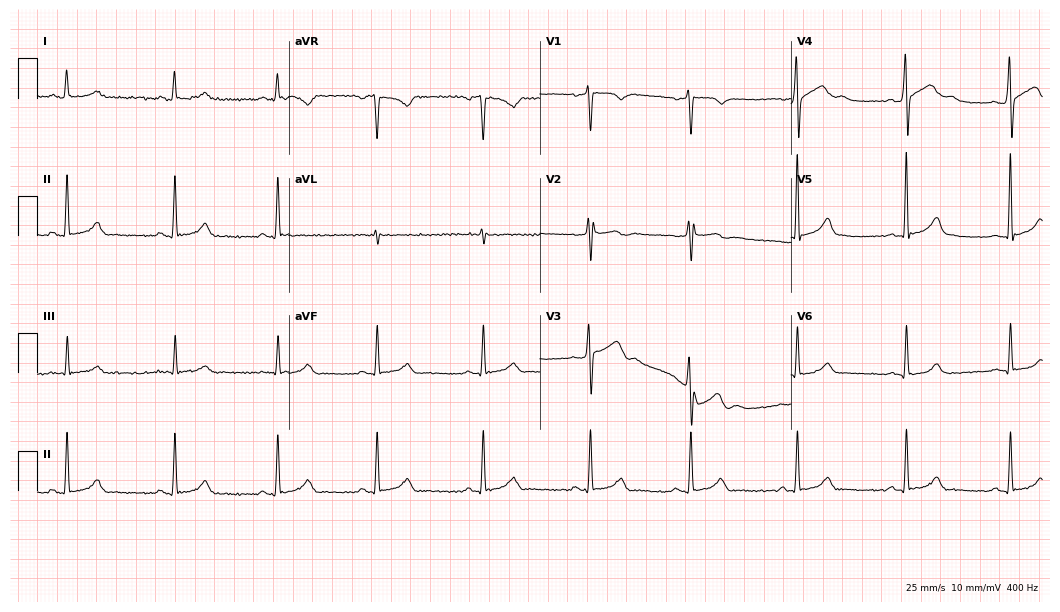
Electrocardiogram (10.2-second recording at 400 Hz), a male, 24 years old. Overall reading on record: normal ECG.